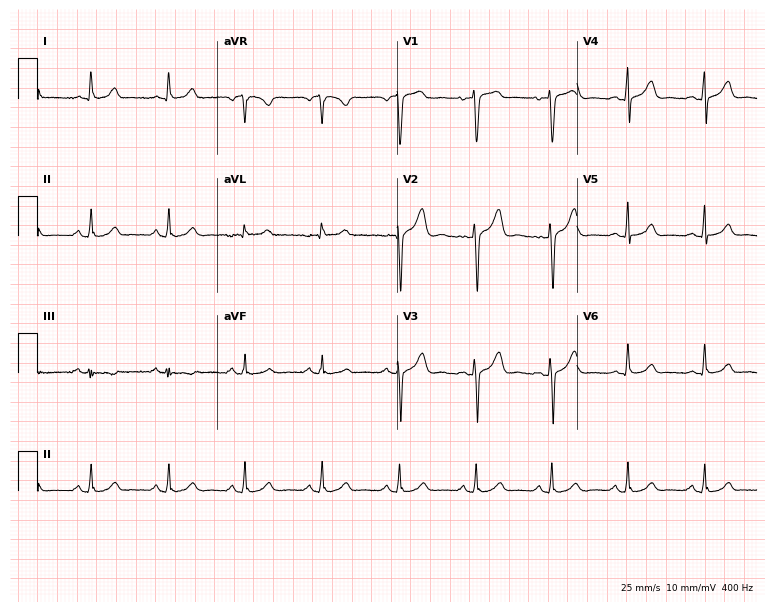
ECG — a 43-year-old female patient. Labelled as a normal ECG.